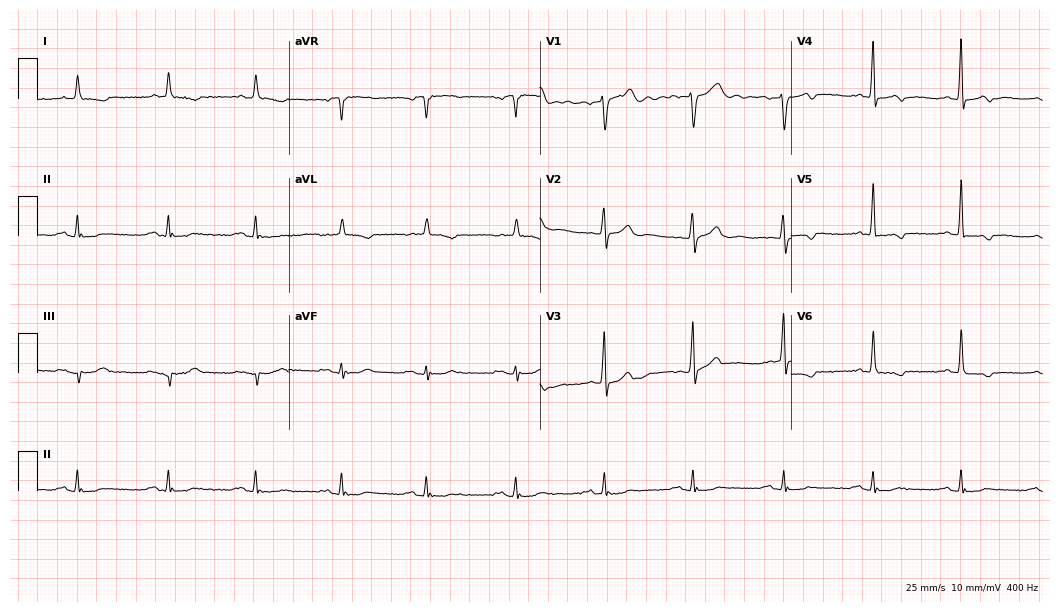
ECG — a 75-year-old male patient. Screened for six findings — first-degree AV block, right bundle branch block, left bundle branch block, sinus bradycardia, atrial fibrillation, sinus tachycardia — none is recorded.